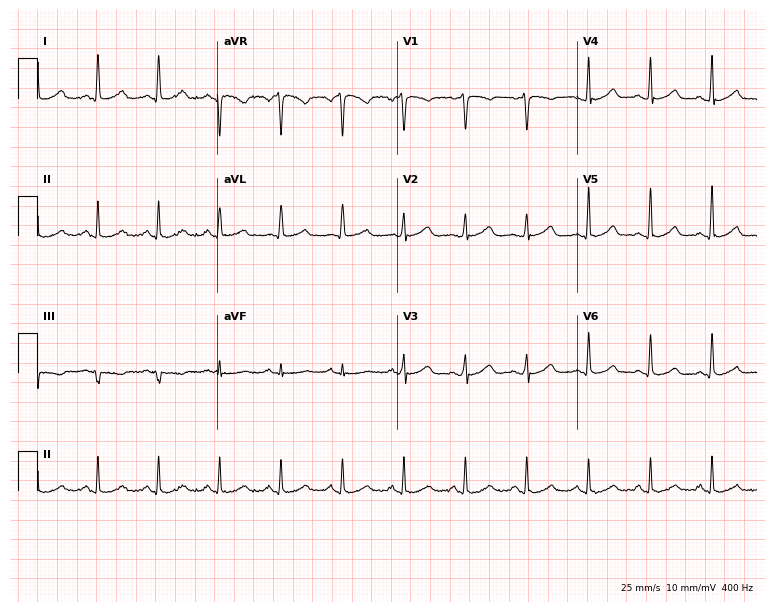
Electrocardiogram, a female patient, 41 years old. Overall reading on record: normal ECG.